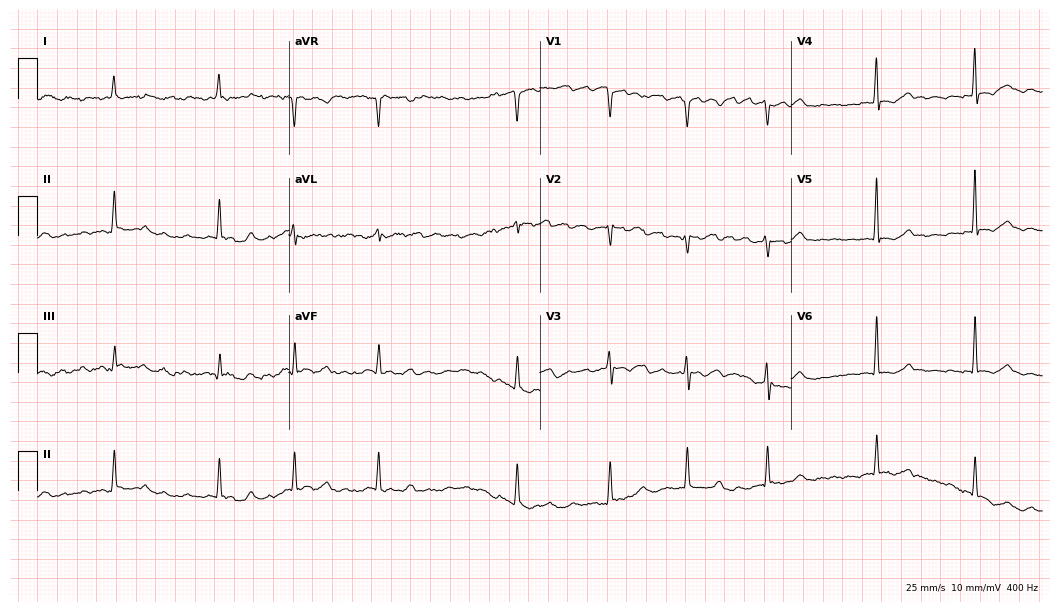
12-lead ECG from a female patient, 57 years old (10.2-second recording at 400 Hz). No first-degree AV block, right bundle branch block (RBBB), left bundle branch block (LBBB), sinus bradycardia, atrial fibrillation (AF) or sinus tachycardia recorded for this tracing.